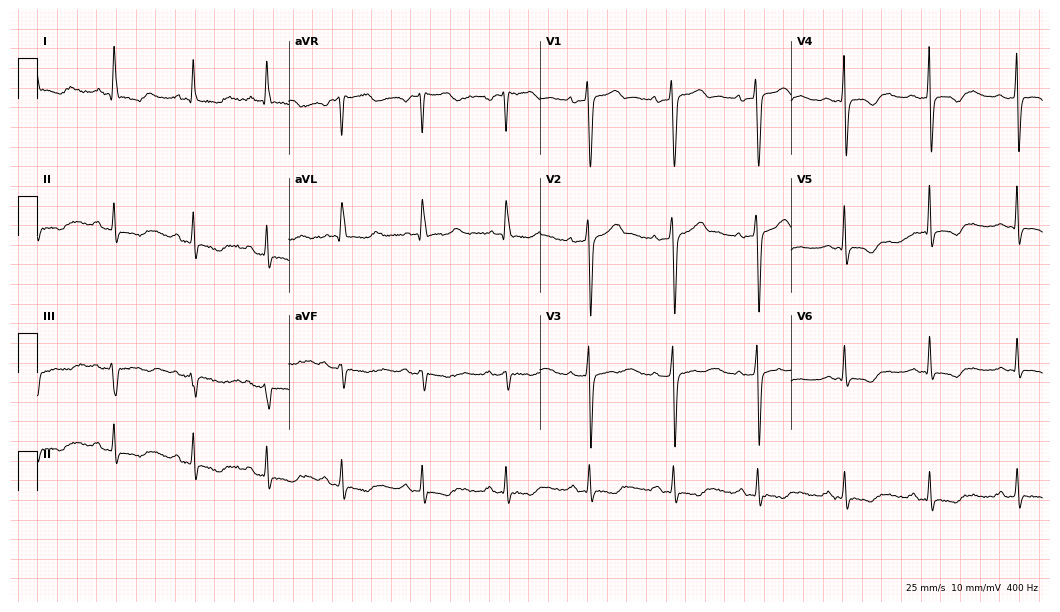
12-lead ECG from a female patient, 47 years old. No first-degree AV block, right bundle branch block, left bundle branch block, sinus bradycardia, atrial fibrillation or sinus tachycardia recorded for this tracing.